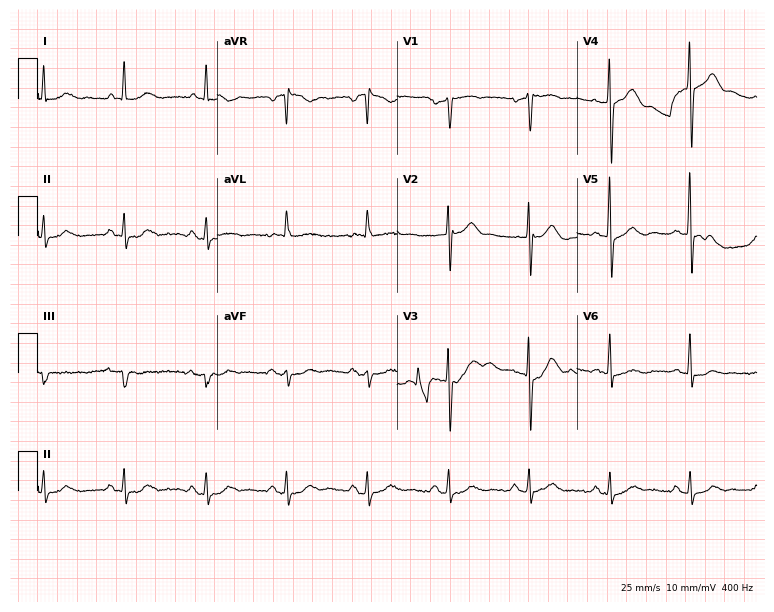
12-lead ECG from a 70-year-old man. Recorded interpretation: within normal limits.